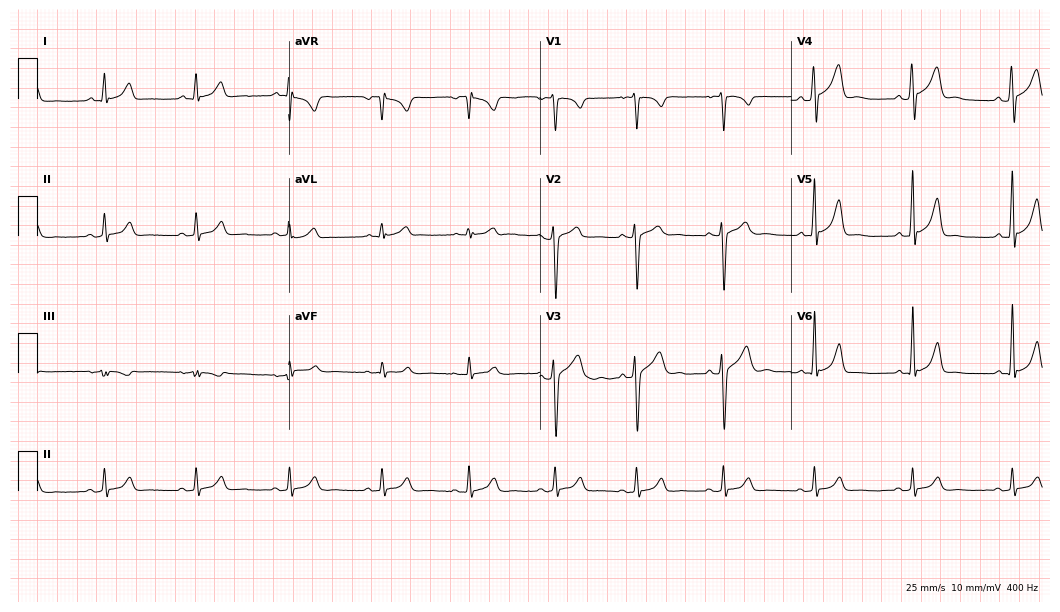
12-lead ECG (10.2-second recording at 400 Hz) from a 28-year-old male. Labelled as a normal ECG.